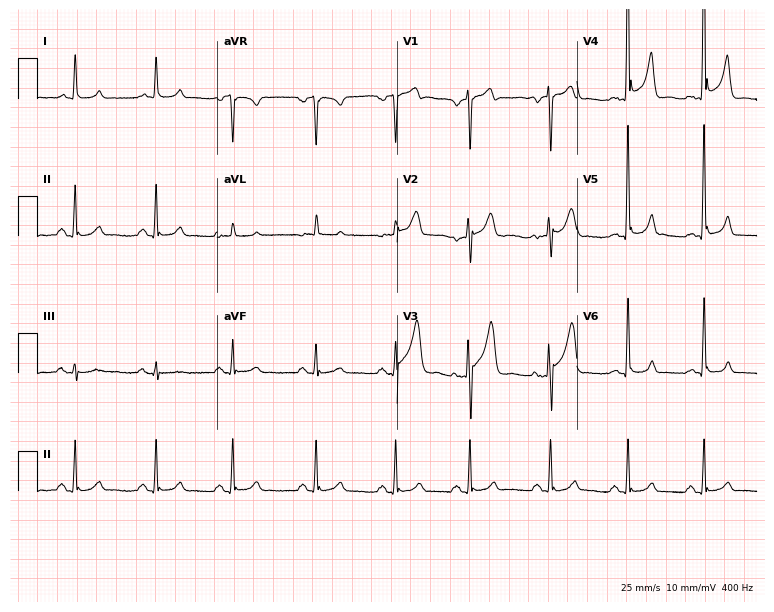
ECG — a male, 56 years old. Screened for six findings — first-degree AV block, right bundle branch block, left bundle branch block, sinus bradycardia, atrial fibrillation, sinus tachycardia — none is recorded.